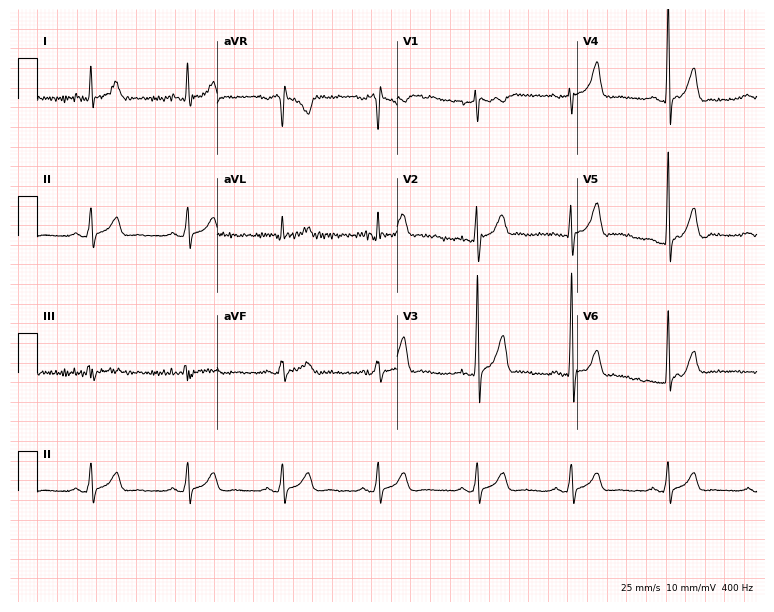
Standard 12-lead ECG recorded from a male patient, 24 years old. Read as a normal ECG.